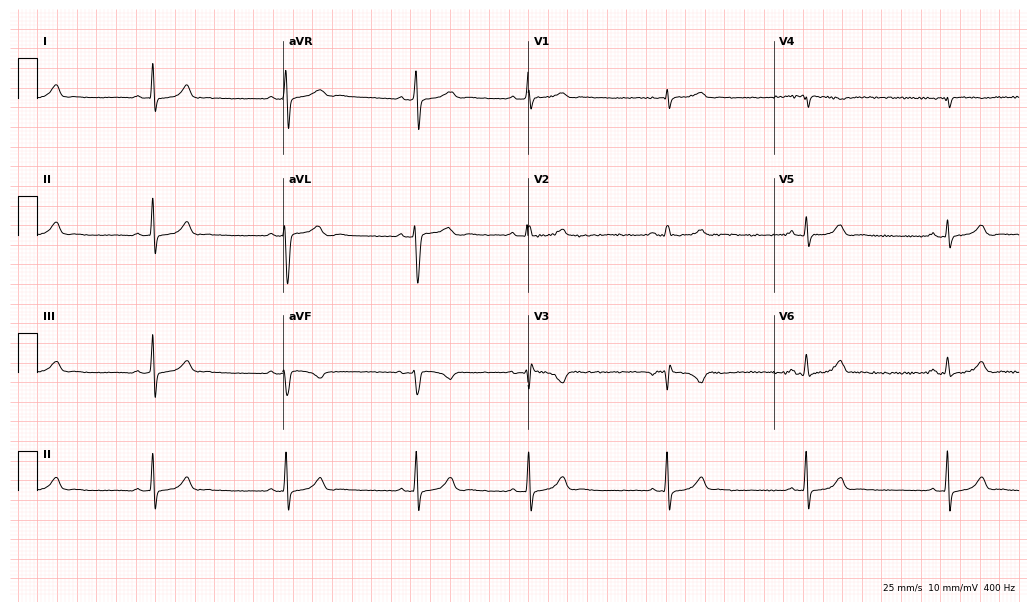
12-lead ECG from a 40-year-old female patient. Findings include sinus bradycardia (a sinus rate of 50 beats per minute or less).